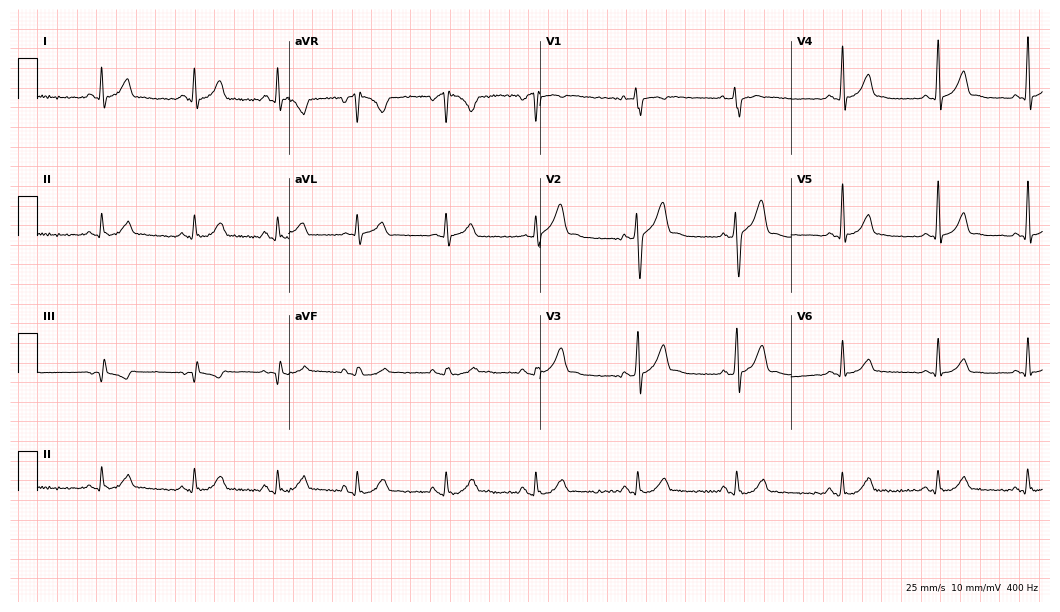
12-lead ECG from a male patient, 63 years old. Labelled as a normal ECG.